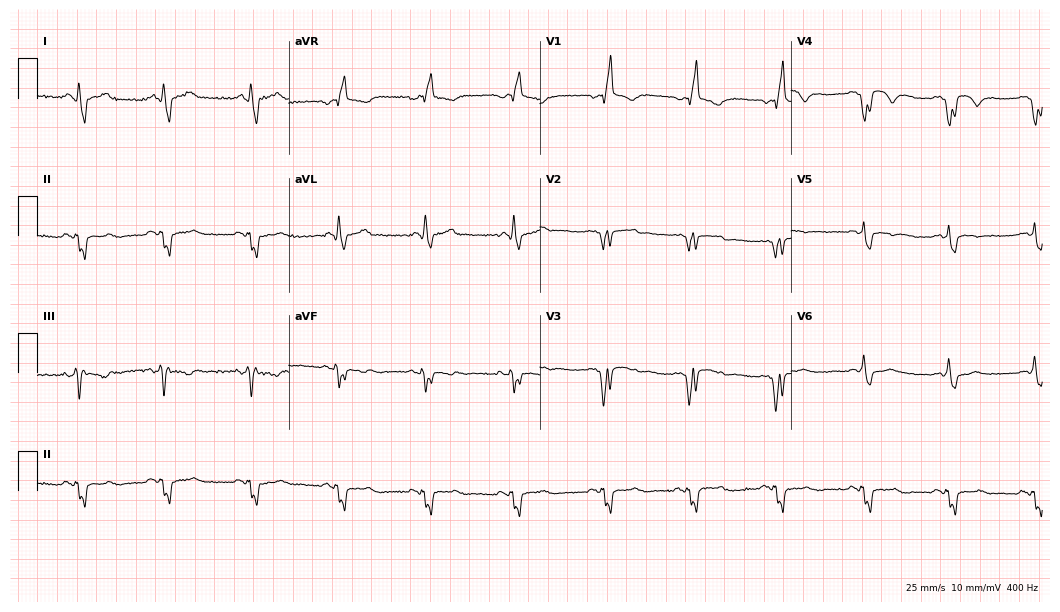
ECG (10.2-second recording at 400 Hz) — a 34-year-old male. Findings include right bundle branch block (RBBB).